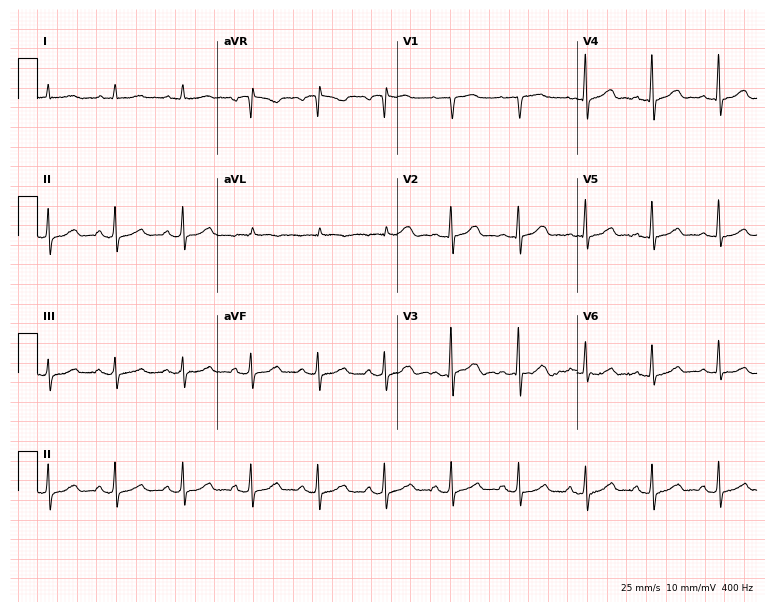
Electrocardiogram (7.3-second recording at 400 Hz), an 80-year-old female. Of the six screened findings (first-degree AV block, right bundle branch block, left bundle branch block, sinus bradycardia, atrial fibrillation, sinus tachycardia), none is recorded.